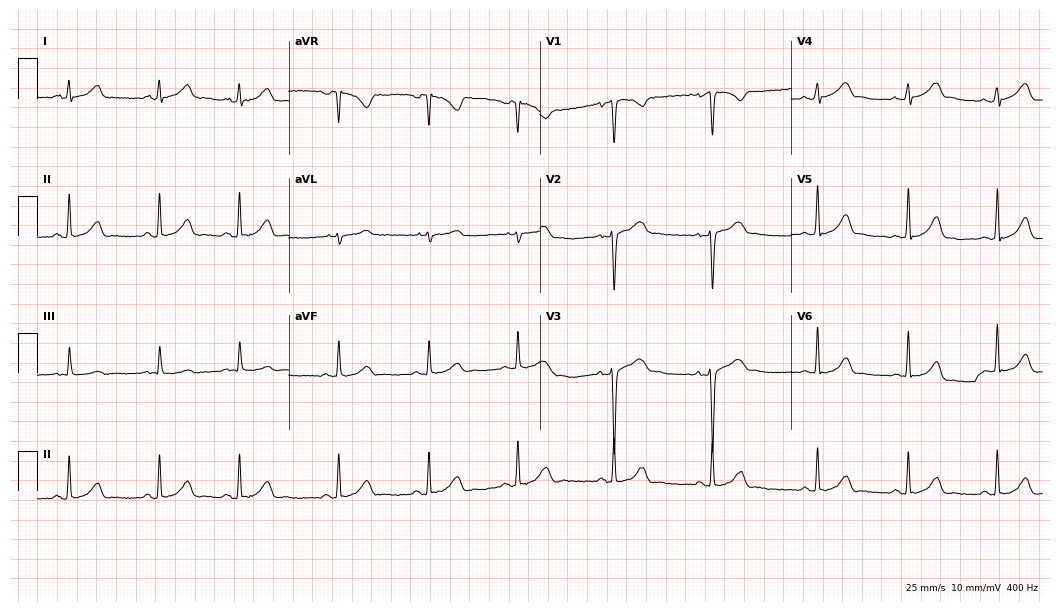
Resting 12-lead electrocardiogram. Patient: a 24-year-old woman. Read as a normal ECG.